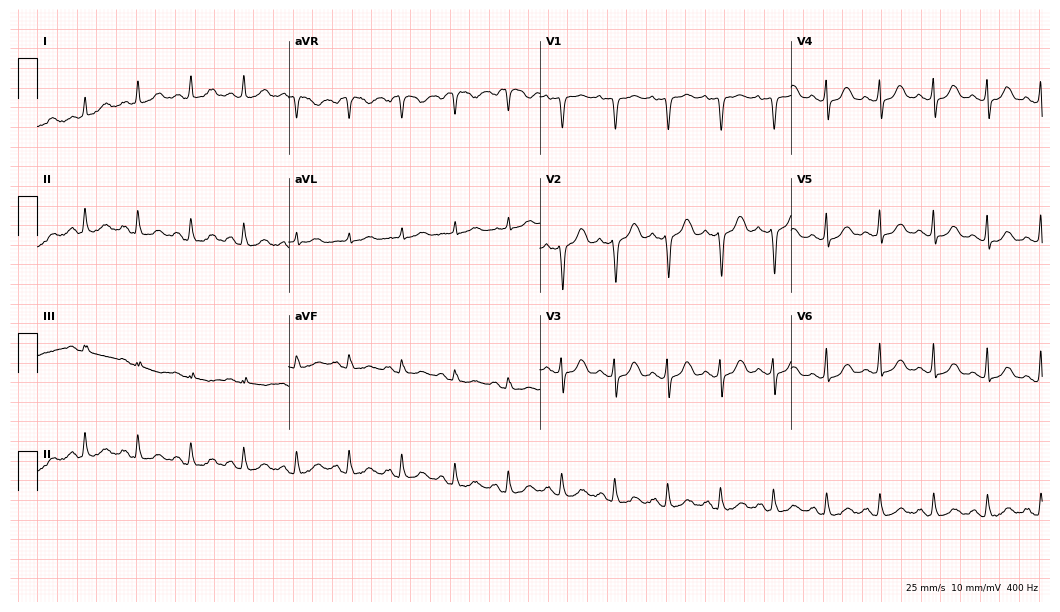
12-lead ECG from a female patient, 64 years old (10.2-second recording at 400 Hz). Shows sinus tachycardia (a sinus rate of 100 beats per minute or more).